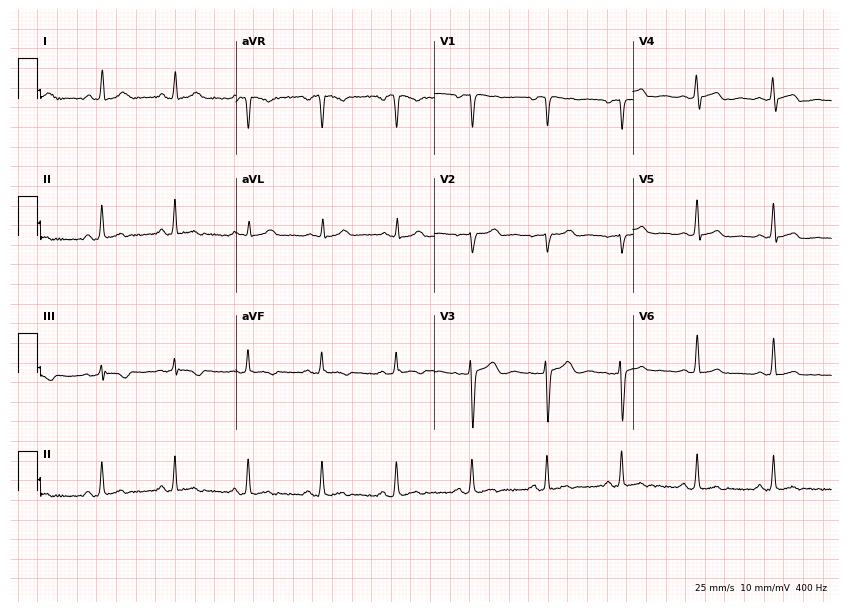
Electrocardiogram (8.1-second recording at 400 Hz), a 41-year-old female. Overall reading on record: normal ECG.